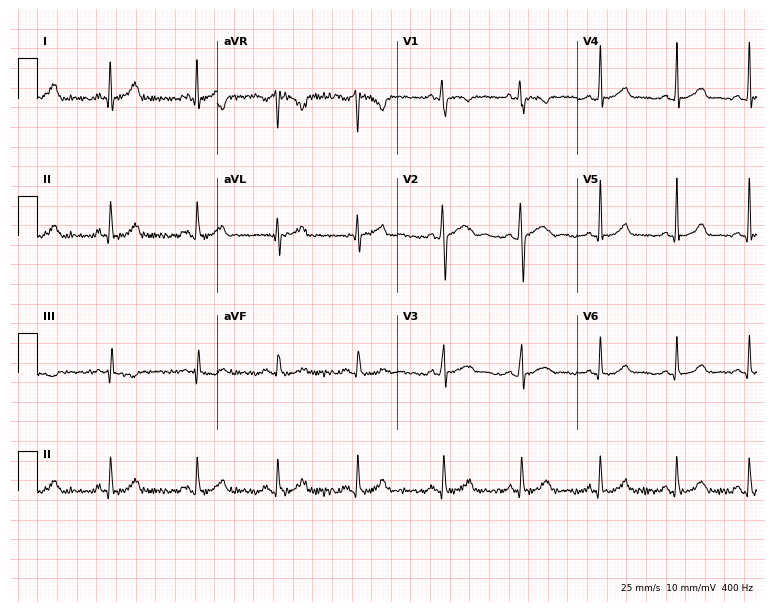
12-lead ECG from a male patient, 27 years old (7.3-second recording at 400 Hz). No first-degree AV block, right bundle branch block (RBBB), left bundle branch block (LBBB), sinus bradycardia, atrial fibrillation (AF) or sinus tachycardia recorded for this tracing.